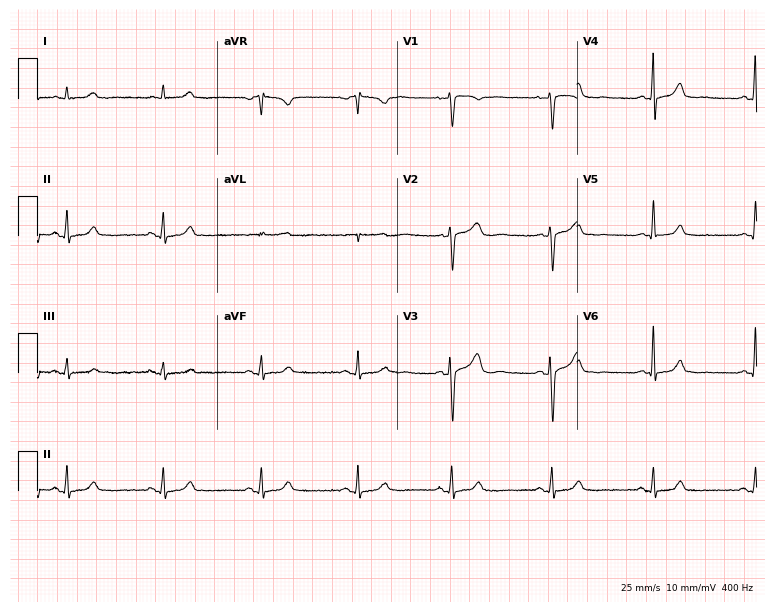
12-lead ECG from a 49-year-old female. Recorded interpretation: within normal limits.